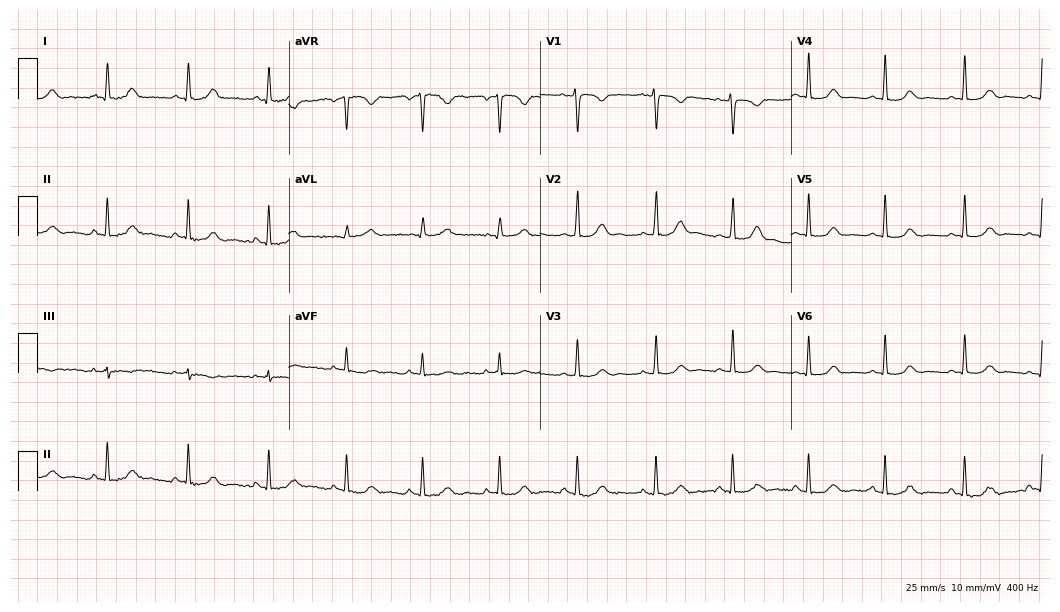
12-lead ECG from a female, 32 years old. Recorded interpretation: within normal limits.